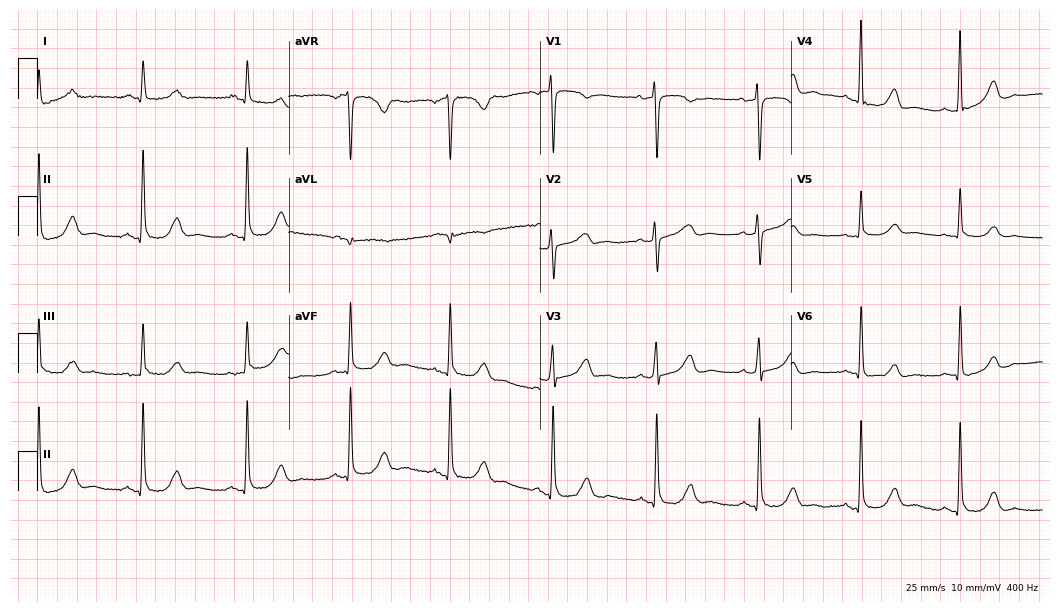
ECG — a female, 60 years old. Screened for six findings — first-degree AV block, right bundle branch block, left bundle branch block, sinus bradycardia, atrial fibrillation, sinus tachycardia — none is recorded. Other findings, if any, are not listed.